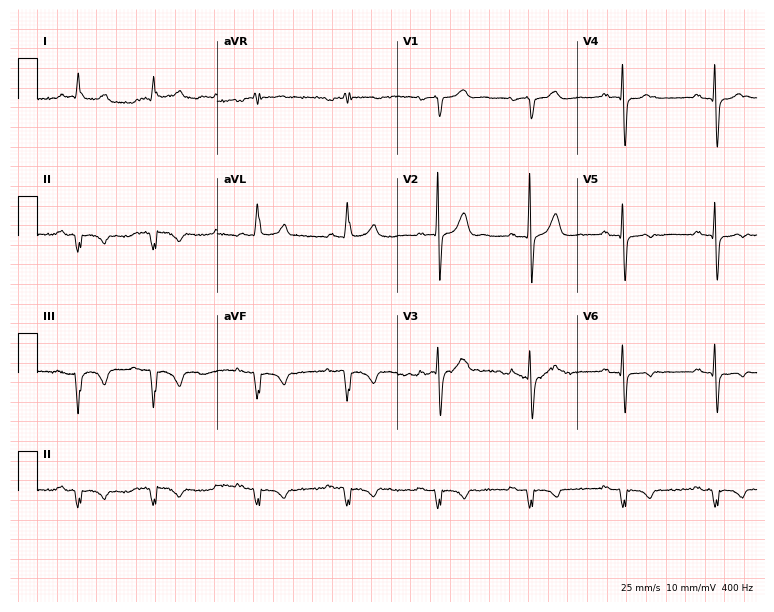
Standard 12-lead ECG recorded from a 70-year-old man (7.3-second recording at 400 Hz). None of these six findings is recorded: first-degree AV block, right bundle branch block, left bundle branch block, sinus bradycardia, atrial fibrillation, sinus tachycardia.